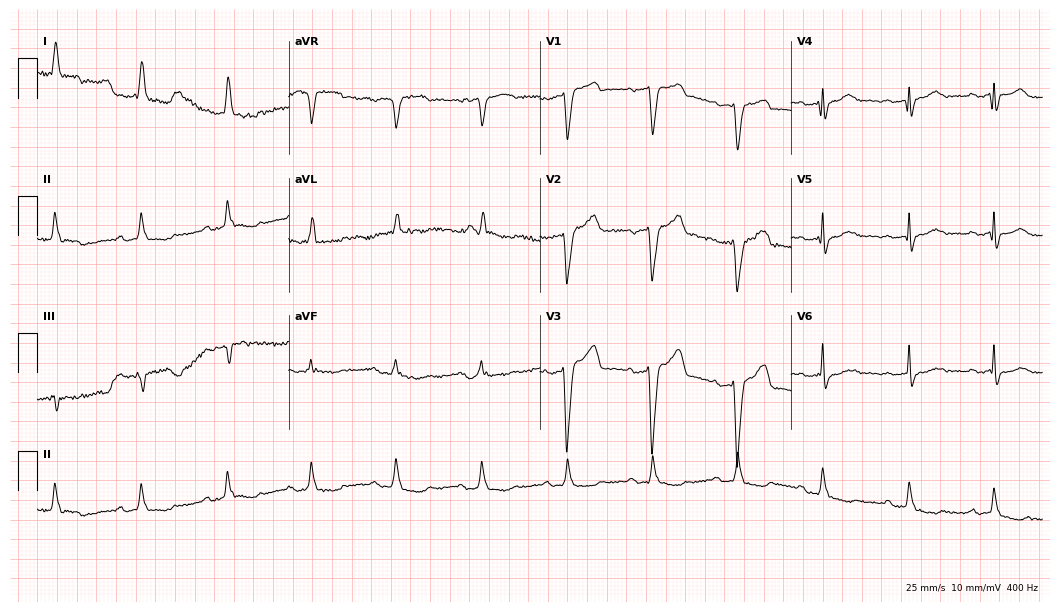
Electrocardiogram, a 78-year-old woman. Interpretation includes left bundle branch block.